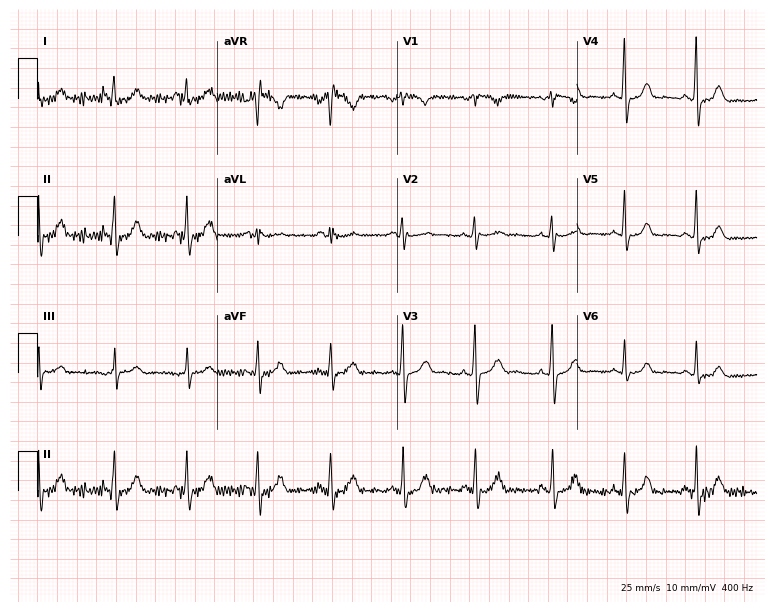
Electrocardiogram (7.3-second recording at 400 Hz), a 37-year-old female patient. Of the six screened findings (first-degree AV block, right bundle branch block (RBBB), left bundle branch block (LBBB), sinus bradycardia, atrial fibrillation (AF), sinus tachycardia), none is recorded.